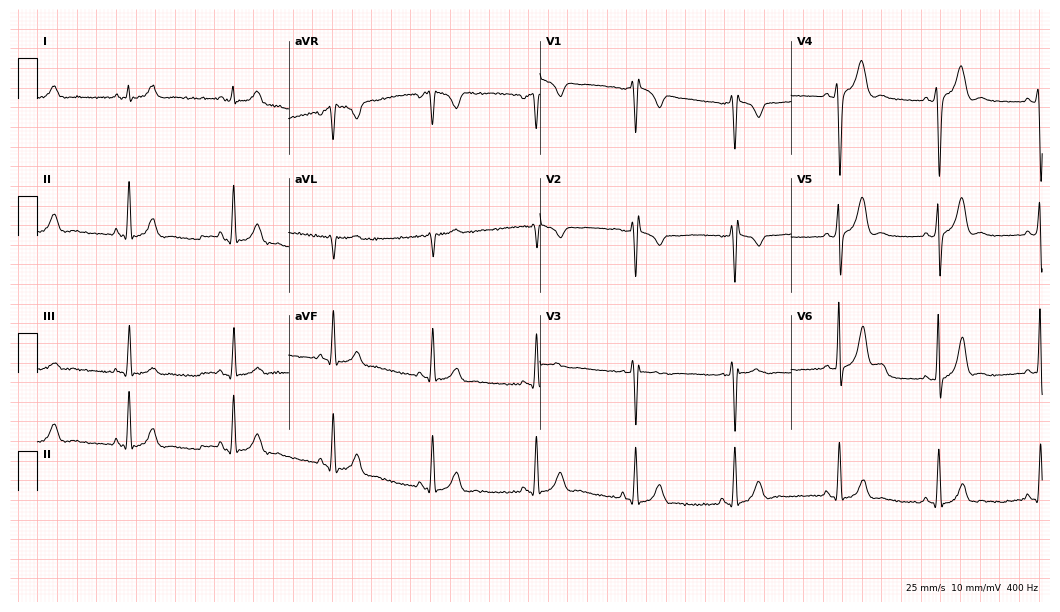
Standard 12-lead ECG recorded from a 25-year-old male. None of these six findings is recorded: first-degree AV block, right bundle branch block (RBBB), left bundle branch block (LBBB), sinus bradycardia, atrial fibrillation (AF), sinus tachycardia.